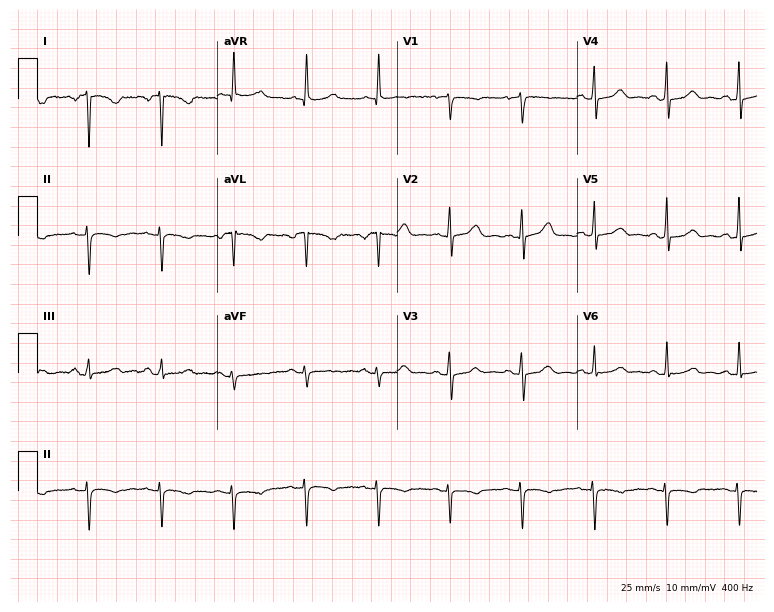
Electrocardiogram, a female, 66 years old. Of the six screened findings (first-degree AV block, right bundle branch block (RBBB), left bundle branch block (LBBB), sinus bradycardia, atrial fibrillation (AF), sinus tachycardia), none is recorded.